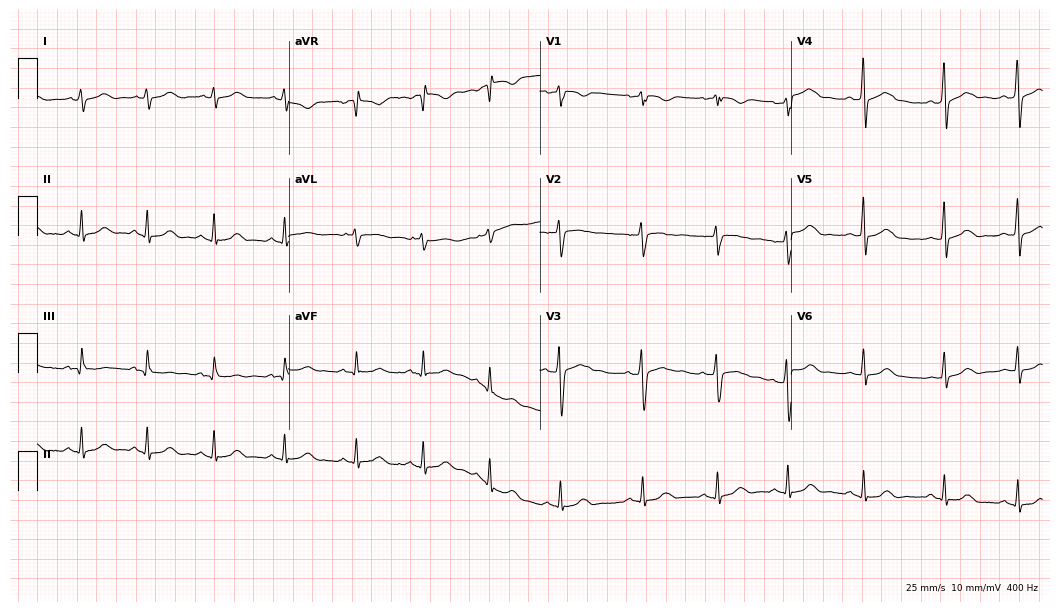
Resting 12-lead electrocardiogram (10.2-second recording at 400 Hz). Patient: a 20-year-old female. Read as a normal ECG.